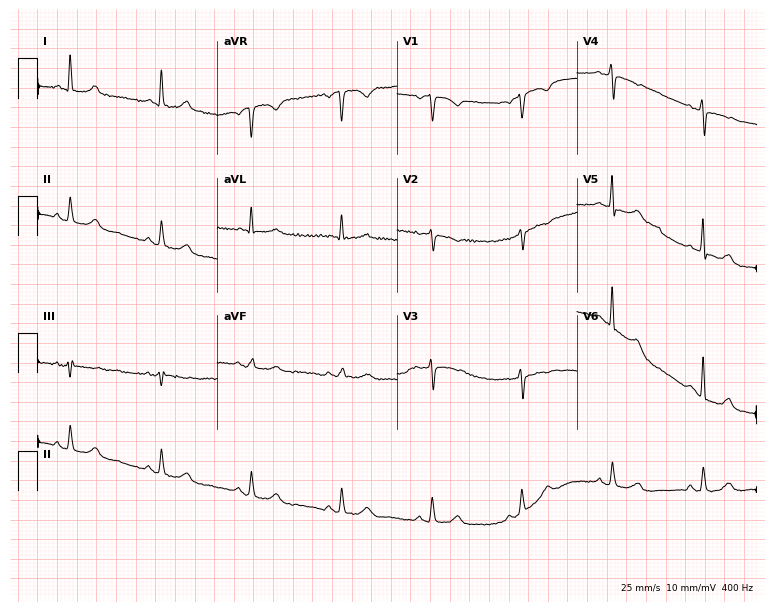
12-lead ECG from a female patient, 37 years old (7.3-second recording at 400 Hz). No first-degree AV block, right bundle branch block, left bundle branch block, sinus bradycardia, atrial fibrillation or sinus tachycardia recorded for this tracing.